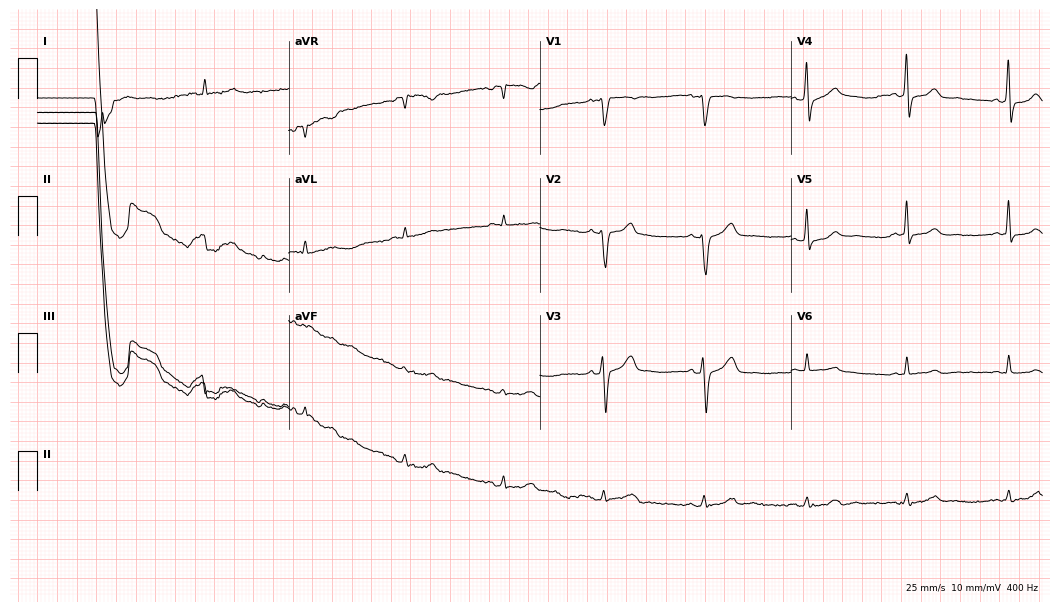
12-lead ECG from a 62-year-old man. No first-degree AV block, right bundle branch block, left bundle branch block, sinus bradycardia, atrial fibrillation or sinus tachycardia recorded for this tracing.